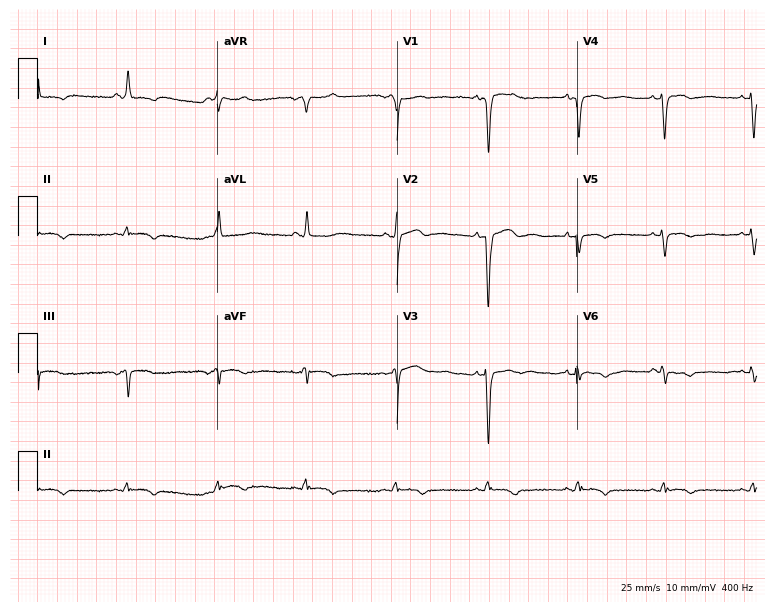
Electrocardiogram (7.3-second recording at 400 Hz), a man, 60 years old. Of the six screened findings (first-degree AV block, right bundle branch block, left bundle branch block, sinus bradycardia, atrial fibrillation, sinus tachycardia), none is recorded.